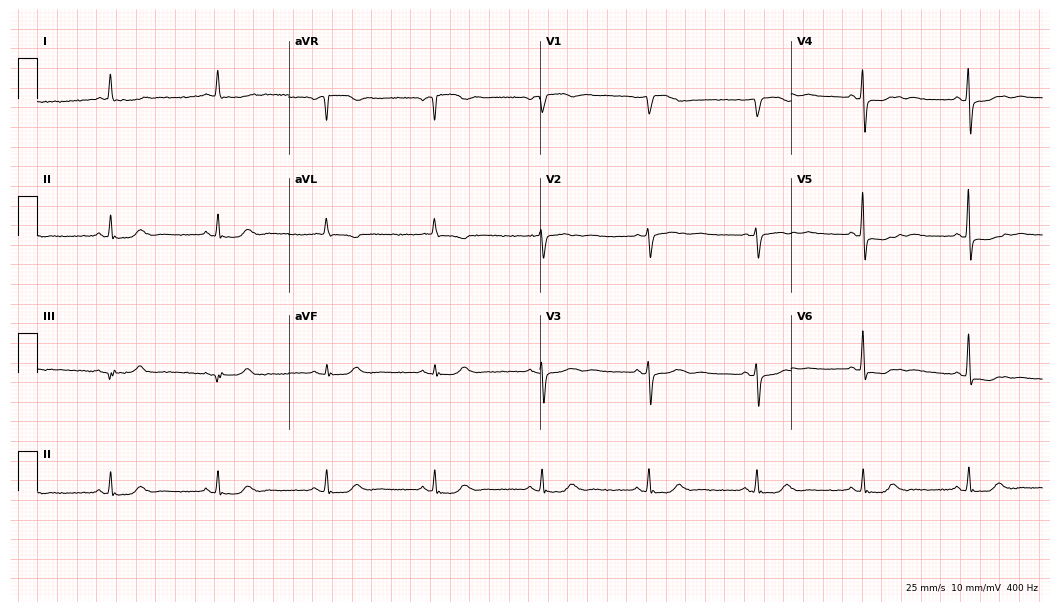
Resting 12-lead electrocardiogram. Patient: a 71-year-old woman. None of these six findings is recorded: first-degree AV block, right bundle branch block, left bundle branch block, sinus bradycardia, atrial fibrillation, sinus tachycardia. Findings outside these six are not listed.